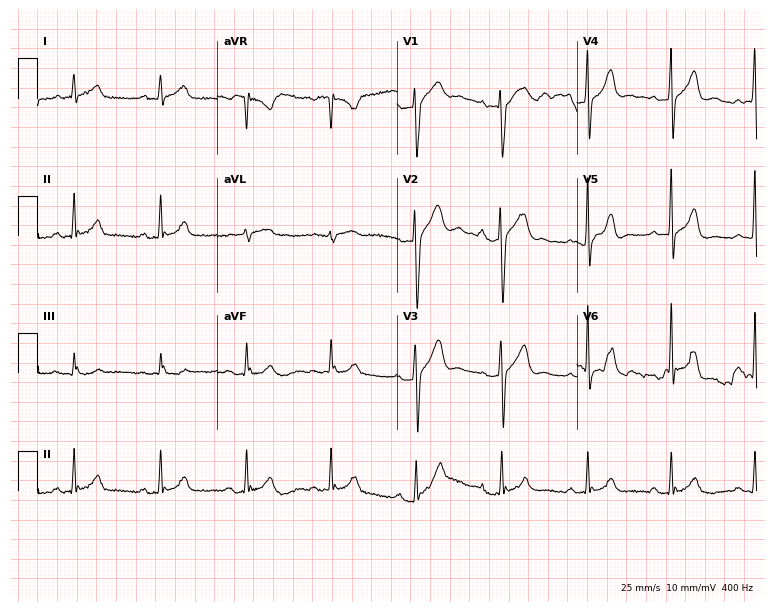
Electrocardiogram (7.3-second recording at 400 Hz), a male patient, 52 years old. Overall reading on record: normal ECG.